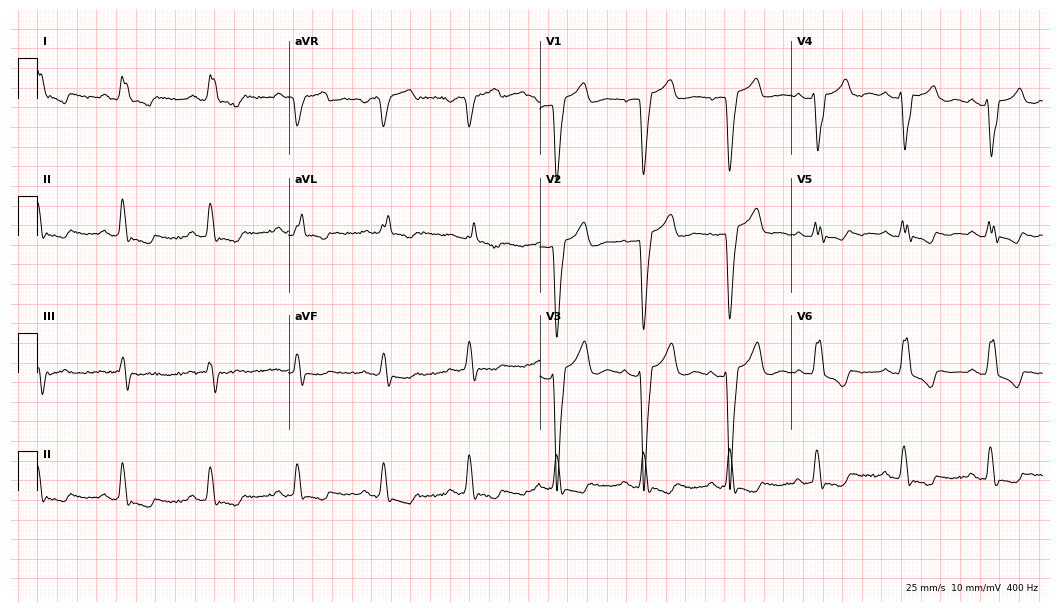
Electrocardiogram (10.2-second recording at 400 Hz), a 61-year-old female patient. Interpretation includes left bundle branch block.